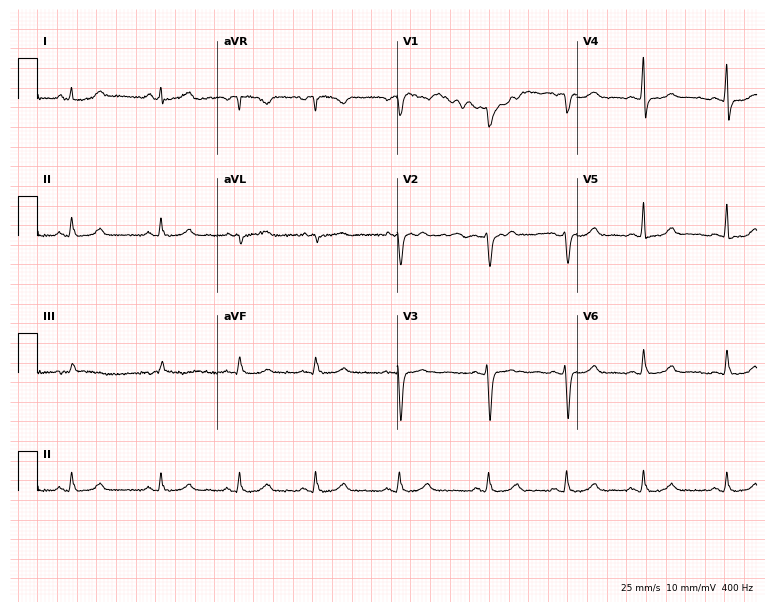
Electrocardiogram, a woman, 35 years old. Of the six screened findings (first-degree AV block, right bundle branch block, left bundle branch block, sinus bradycardia, atrial fibrillation, sinus tachycardia), none is recorded. Other findings, if any, are not listed.